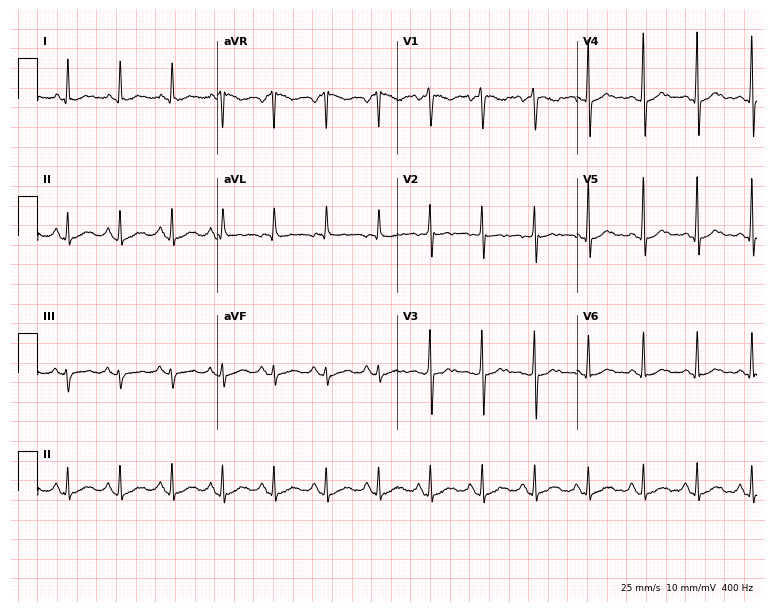
12-lead ECG from a woman, 39 years old. Shows sinus tachycardia (a sinus rate of 100 beats per minute or more).